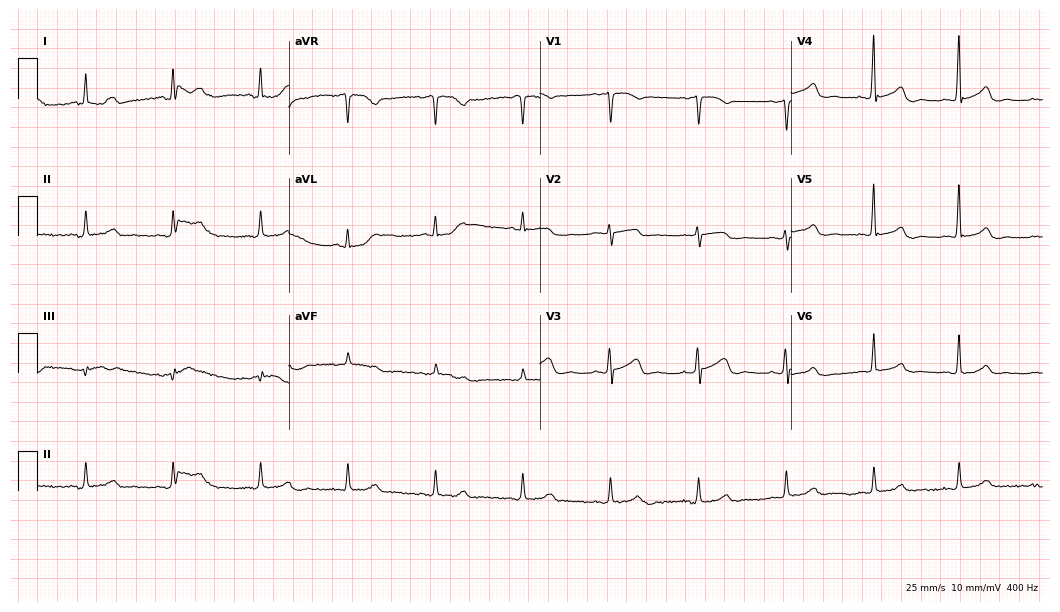
12-lead ECG (10.2-second recording at 400 Hz) from a woman, 40 years old. Labelled as a normal ECG.